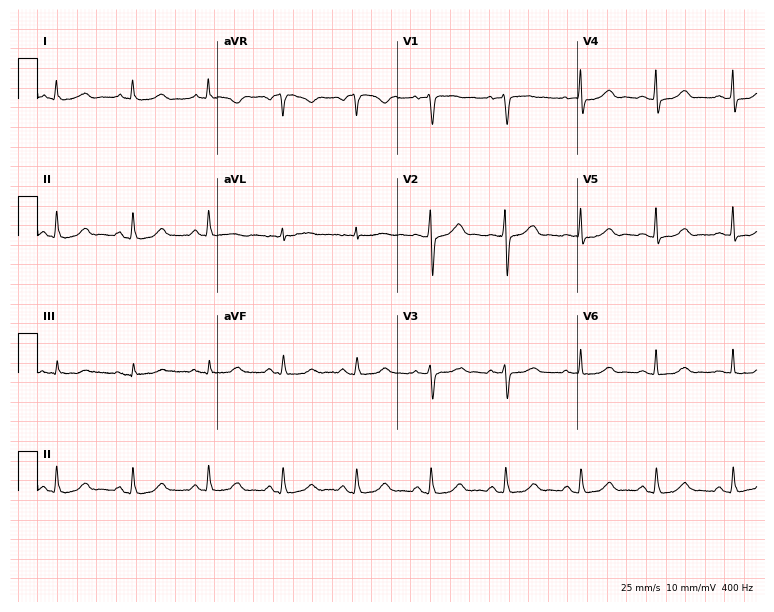
12-lead ECG from a female patient, 54 years old (7.3-second recording at 400 Hz). Recorded interpretation: within normal limits.